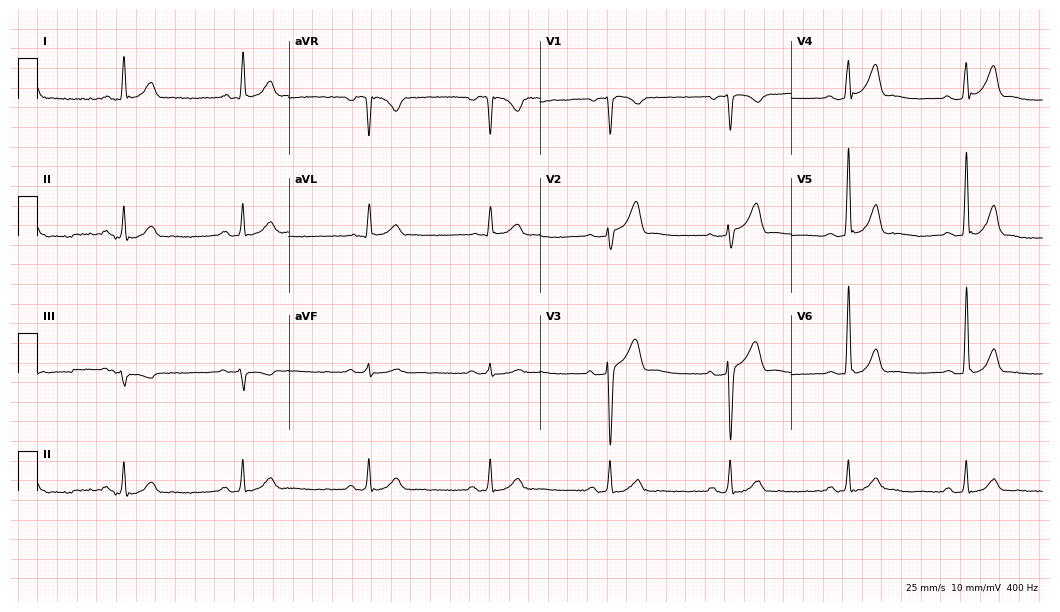
12-lead ECG from a 56-year-old male patient (10.2-second recording at 400 Hz). Recorded interpretation: within normal limits.